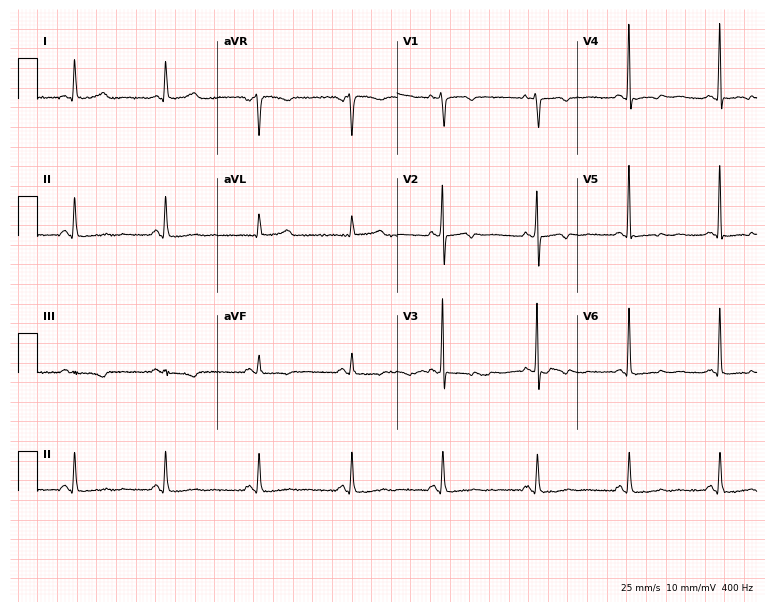
Resting 12-lead electrocardiogram. Patient: a 59-year-old female. None of these six findings is recorded: first-degree AV block, right bundle branch block, left bundle branch block, sinus bradycardia, atrial fibrillation, sinus tachycardia.